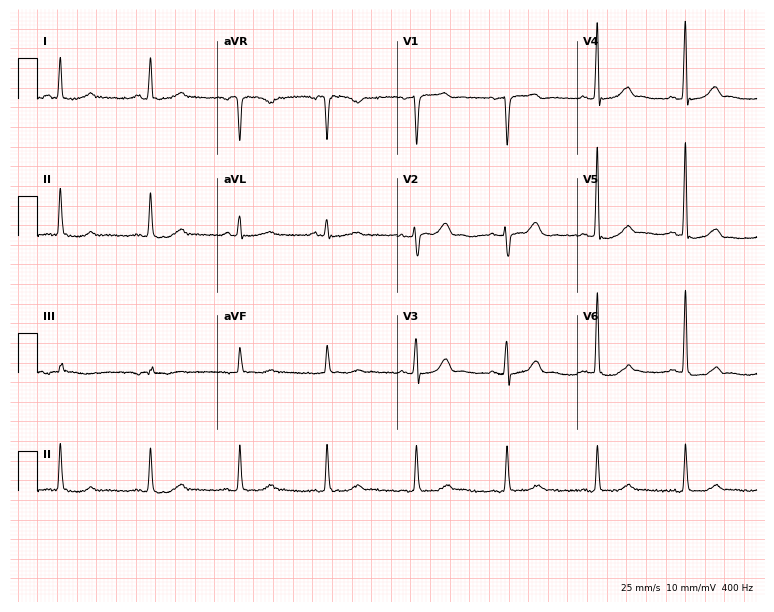
ECG — a woman, 69 years old. Labelled as a normal ECG.